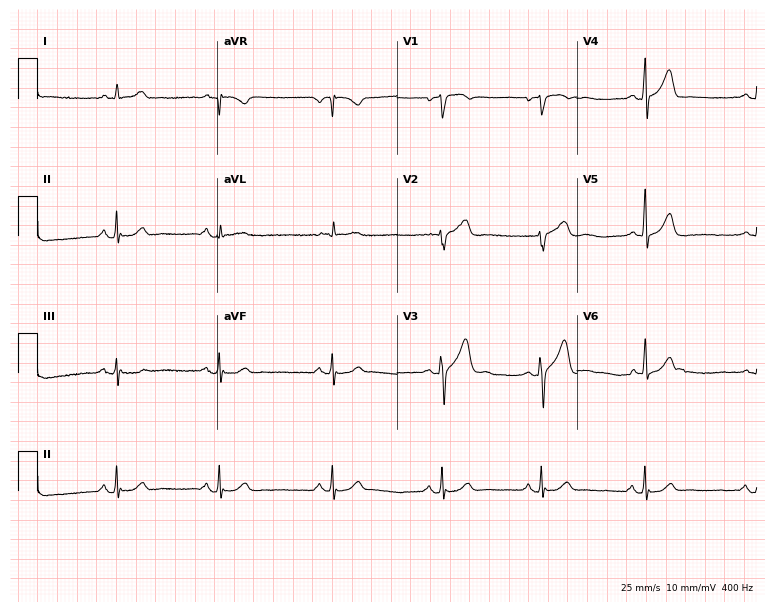
12-lead ECG from a male patient, 64 years old. Recorded interpretation: within normal limits.